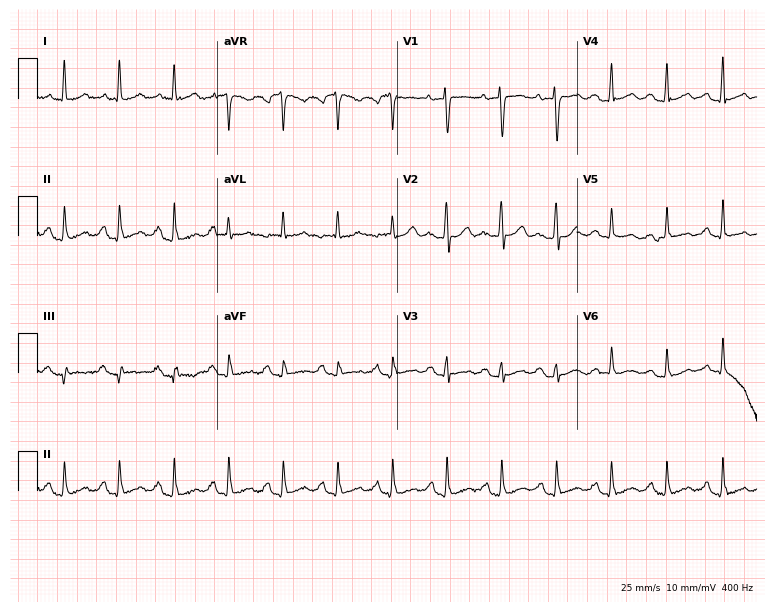
Standard 12-lead ECG recorded from a female patient, 30 years old (7.3-second recording at 400 Hz). The tracing shows sinus tachycardia (a sinus rate of 100 beats per minute or more).